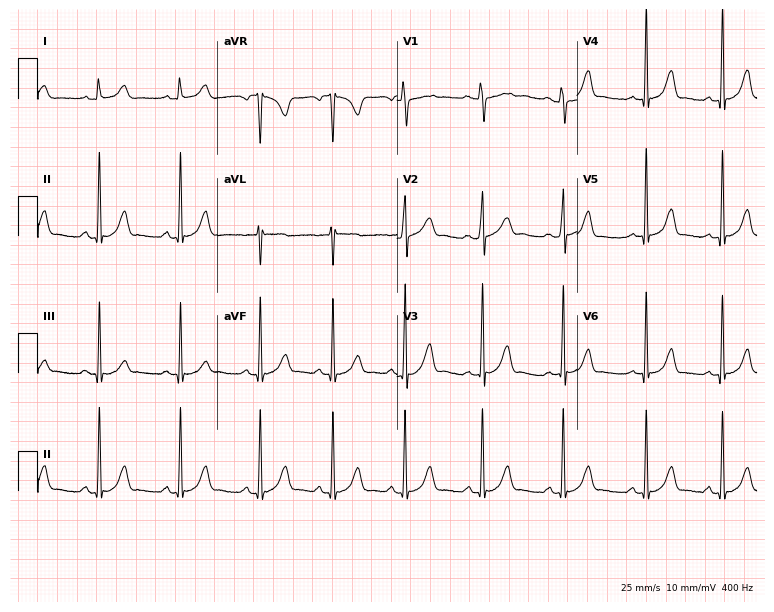
12-lead ECG from a 23-year-old female (7.3-second recording at 400 Hz). Recorded interpretation: within normal limits.